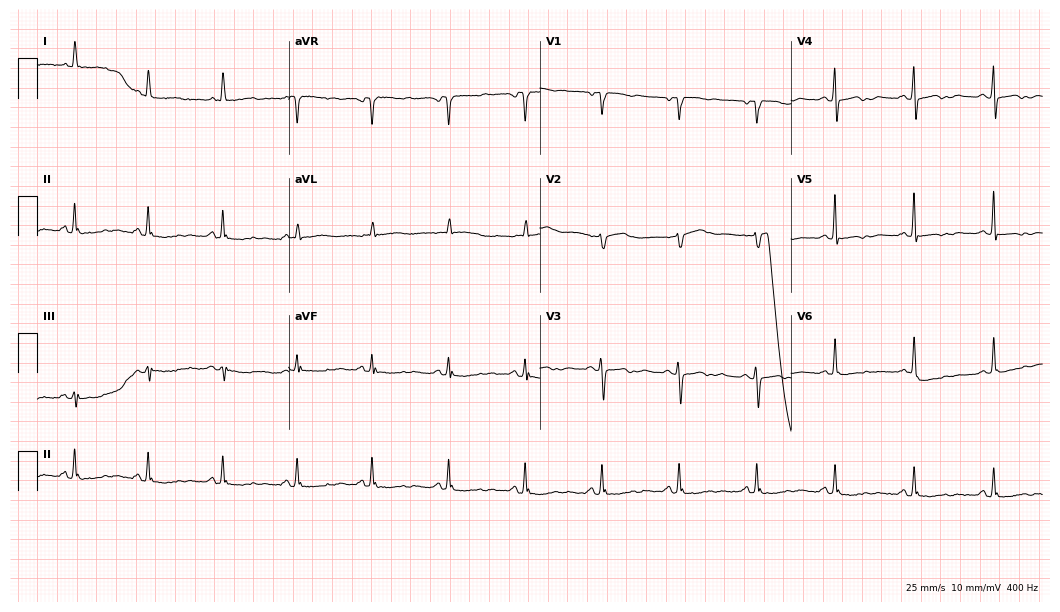
Electrocardiogram (10.2-second recording at 400 Hz), a female, 82 years old. Of the six screened findings (first-degree AV block, right bundle branch block, left bundle branch block, sinus bradycardia, atrial fibrillation, sinus tachycardia), none is recorded.